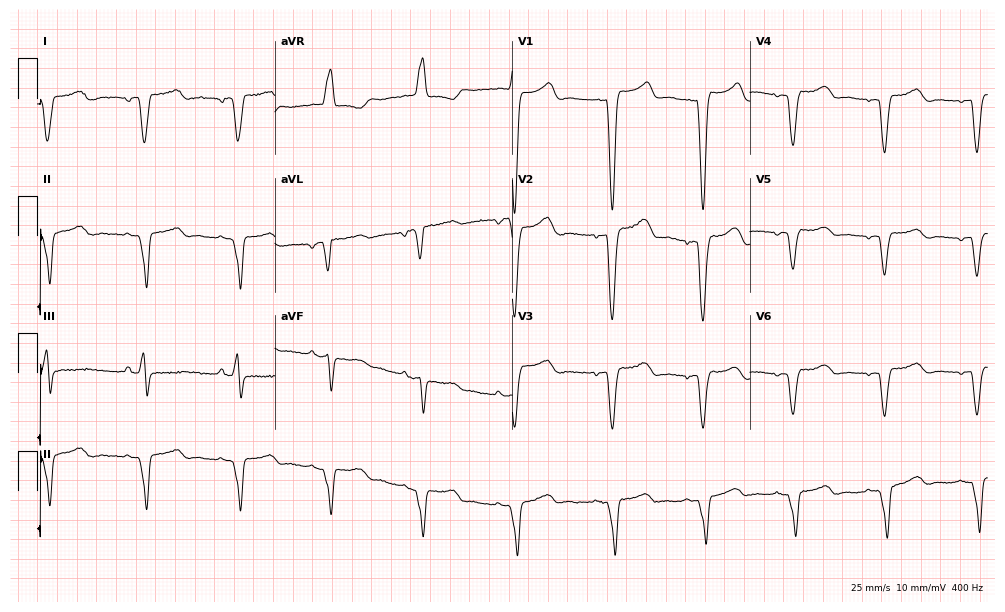
Electrocardiogram (9.7-second recording at 400 Hz), a 73-year-old female patient. Of the six screened findings (first-degree AV block, right bundle branch block, left bundle branch block, sinus bradycardia, atrial fibrillation, sinus tachycardia), none is recorded. Findings outside these six are not listed.